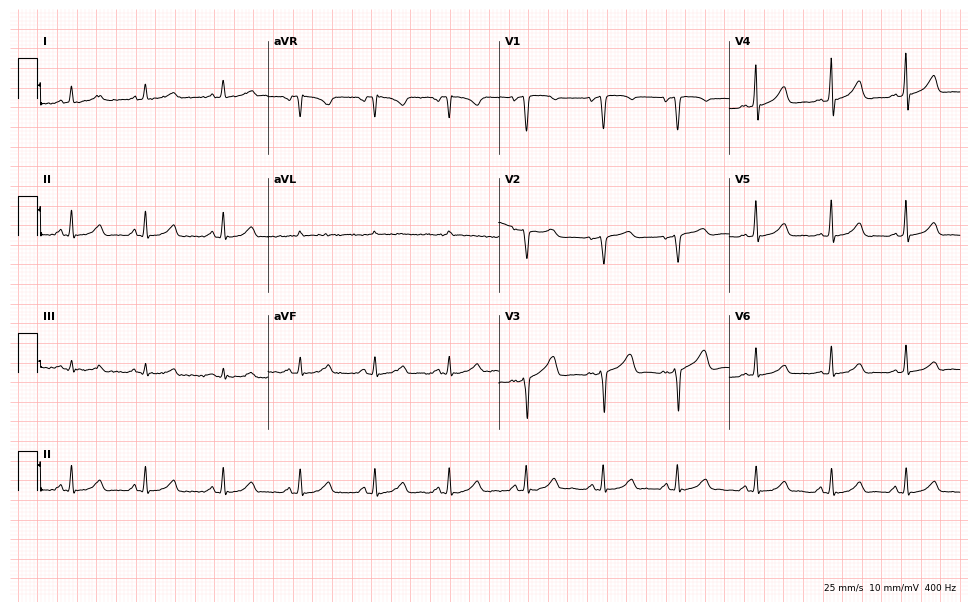
Standard 12-lead ECG recorded from a woman, 40 years old (9.4-second recording at 400 Hz). Read as a normal ECG.